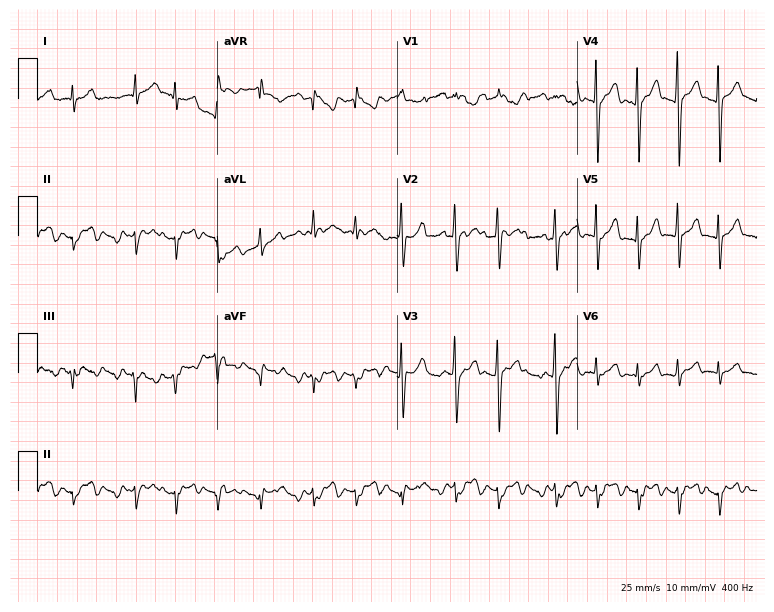
Standard 12-lead ECG recorded from a female, 70 years old (7.3-second recording at 400 Hz). None of these six findings is recorded: first-degree AV block, right bundle branch block (RBBB), left bundle branch block (LBBB), sinus bradycardia, atrial fibrillation (AF), sinus tachycardia. Only these six findings were labelled.